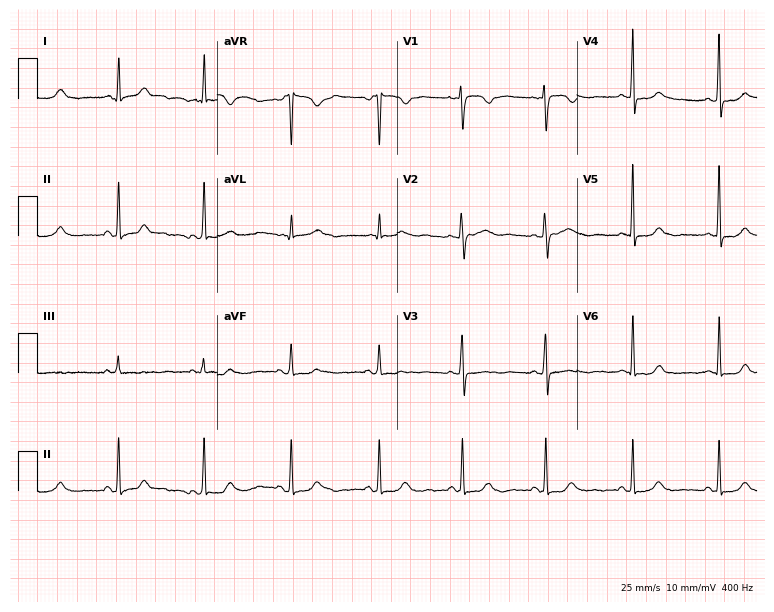
12-lead ECG (7.3-second recording at 400 Hz) from a 32-year-old woman. Screened for six findings — first-degree AV block, right bundle branch block, left bundle branch block, sinus bradycardia, atrial fibrillation, sinus tachycardia — none is recorded. Findings outside these six are not listed.